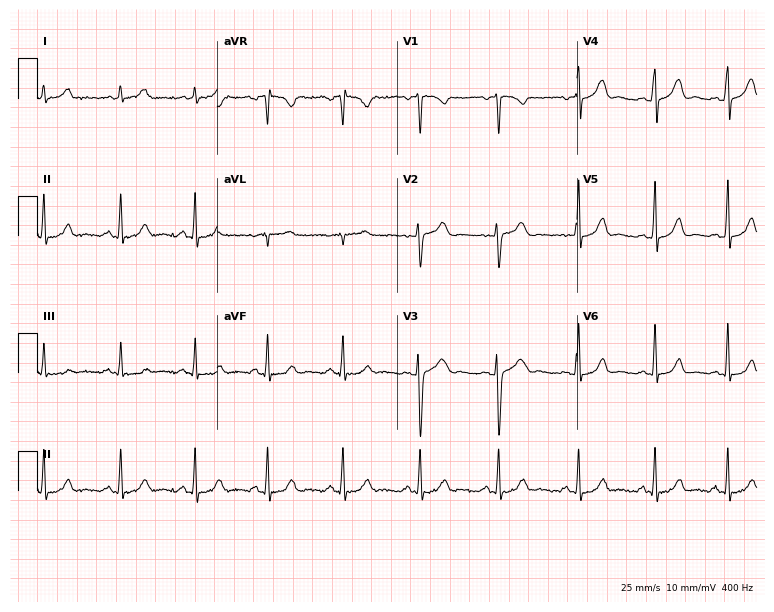
Resting 12-lead electrocardiogram. Patient: a 23-year-old woman. Read as a normal ECG.